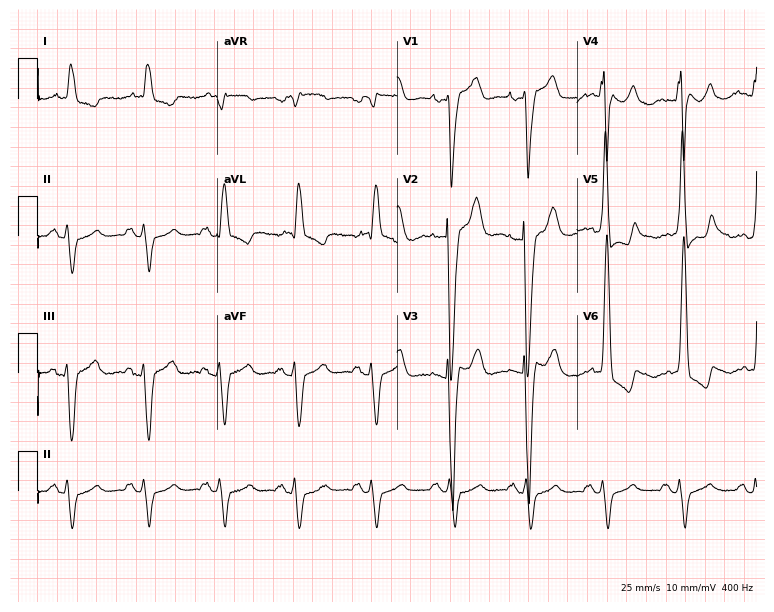
12-lead ECG (7.3-second recording at 400 Hz) from a male, 82 years old. Findings include left bundle branch block.